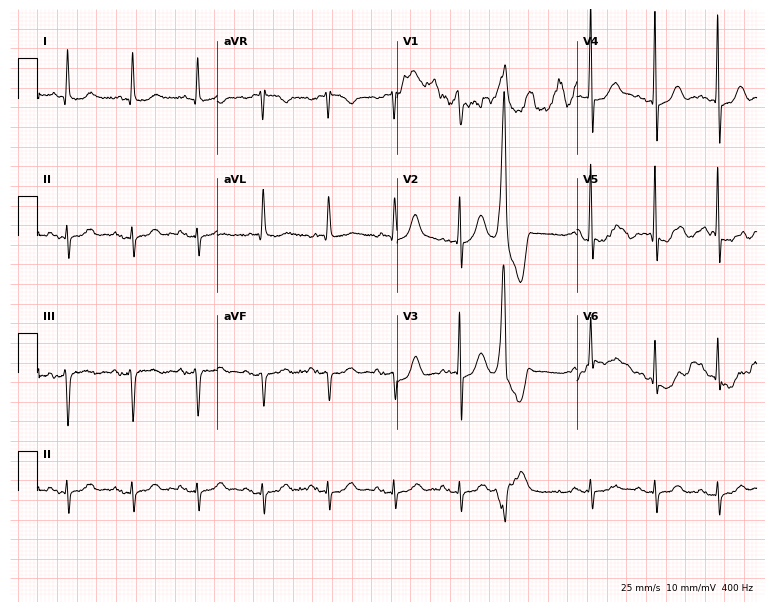
12-lead ECG (7.3-second recording at 400 Hz) from an 82-year-old man. Screened for six findings — first-degree AV block, right bundle branch block, left bundle branch block, sinus bradycardia, atrial fibrillation, sinus tachycardia — none is recorded.